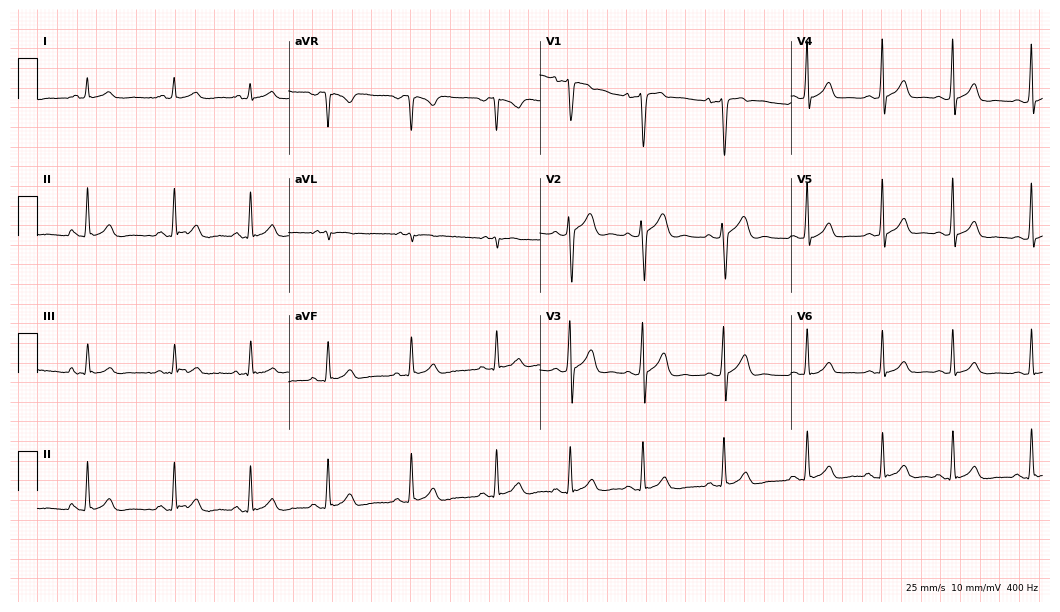
ECG — a 20-year-old male patient. Labelled as a normal ECG.